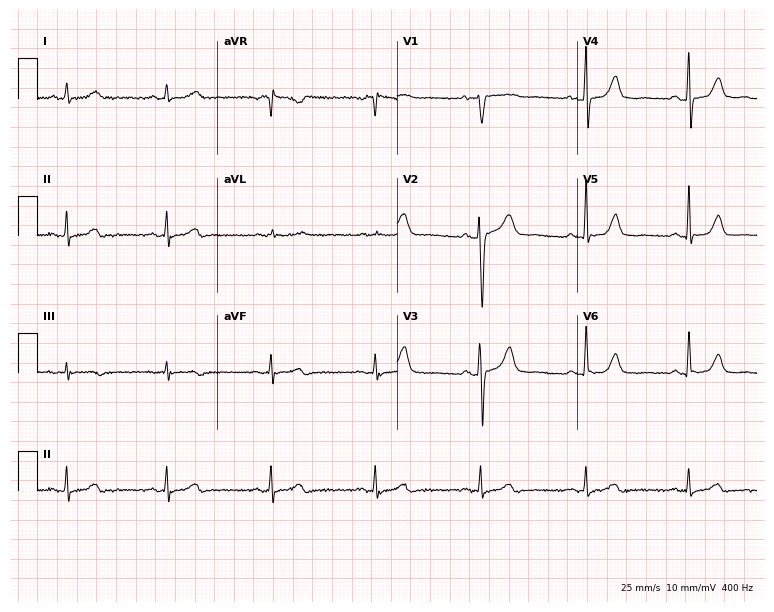
12-lead ECG from a female, 59 years old (7.3-second recording at 400 Hz). Shows sinus bradycardia (a sinus rate of 50 beats per minute or less).